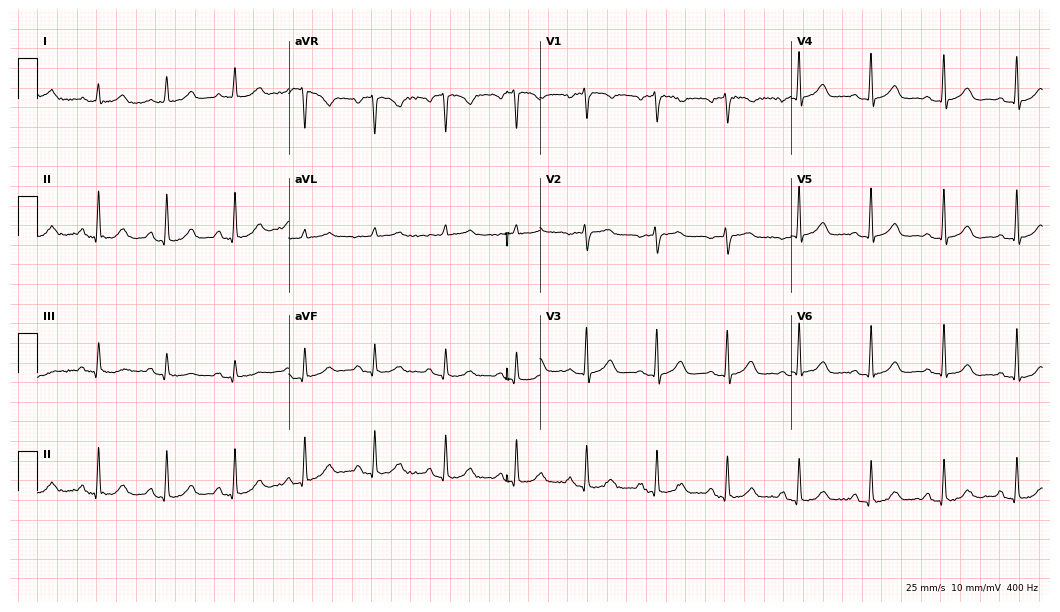
12-lead ECG (10.2-second recording at 400 Hz) from a 72-year-old woman. Labelled as a normal ECG.